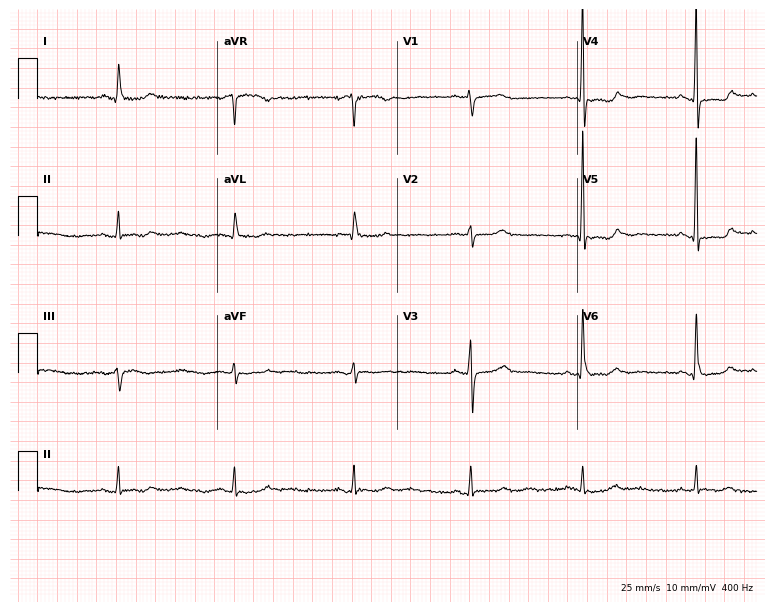
12-lead ECG (7.3-second recording at 400 Hz) from a woman, 63 years old. Findings include right bundle branch block (RBBB).